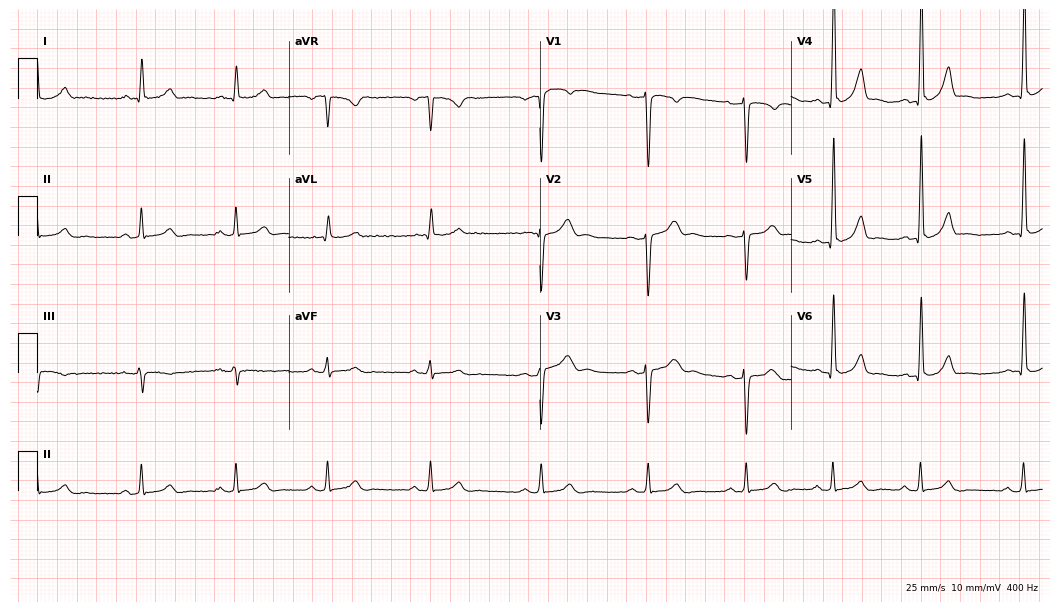
12-lead ECG from a man, 35 years old. Recorded interpretation: within normal limits.